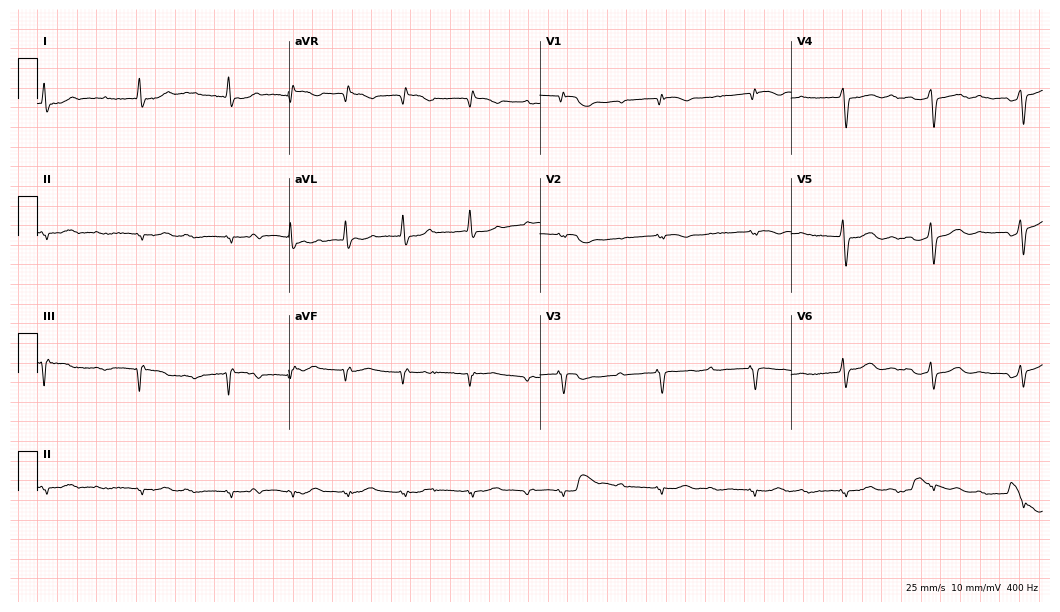
12-lead ECG from a female, 82 years old. Screened for six findings — first-degree AV block, right bundle branch block, left bundle branch block, sinus bradycardia, atrial fibrillation, sinus tachycardia — none is recorded. Other findings, if any, are not listed.